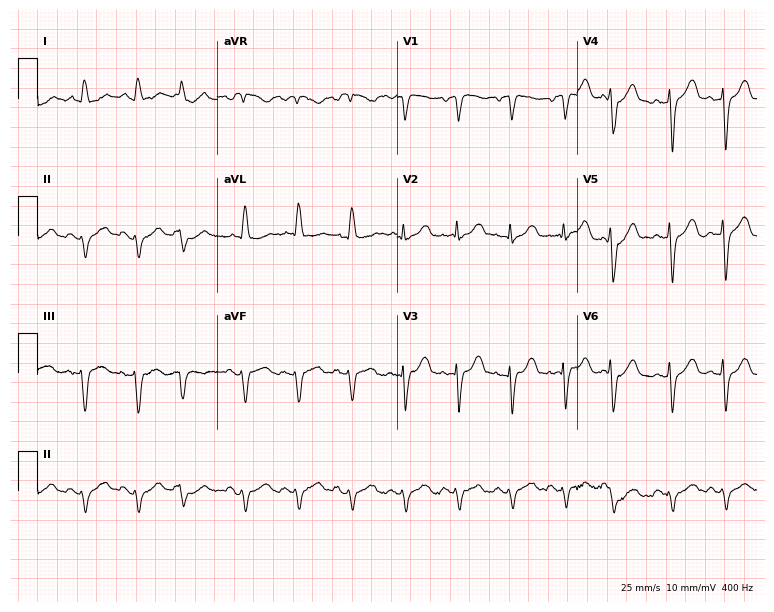
Electrocardiogram (7.3-second recording at 400 Hz), a 77-year-old male. Interpretation includes sinus tachycardia (a sinus rate of 100 beats per minute or more).